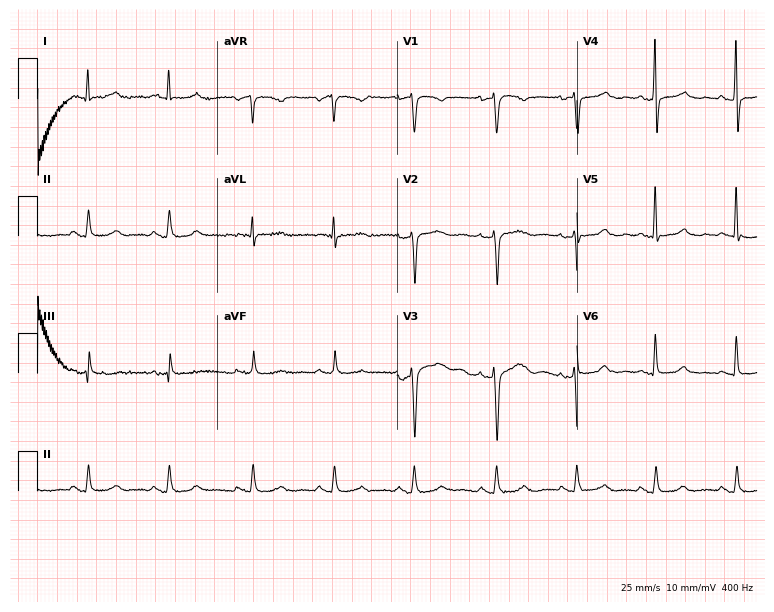
ECG — a woman, 45 years old. Labelled as a normal ECG.